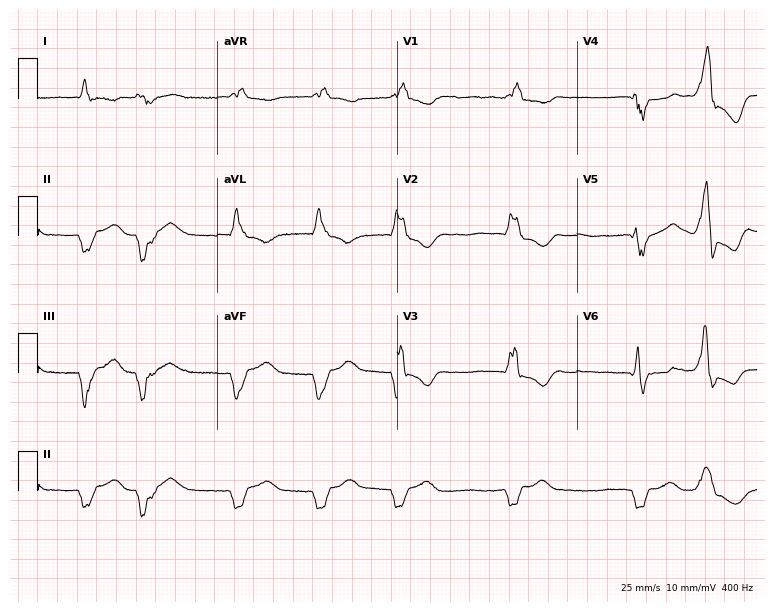
Standard 12-lead ECG recorded from a woman, 59 years old. The tracing shows right bundle branch block (RBBB), atrial fibrillation (AF).